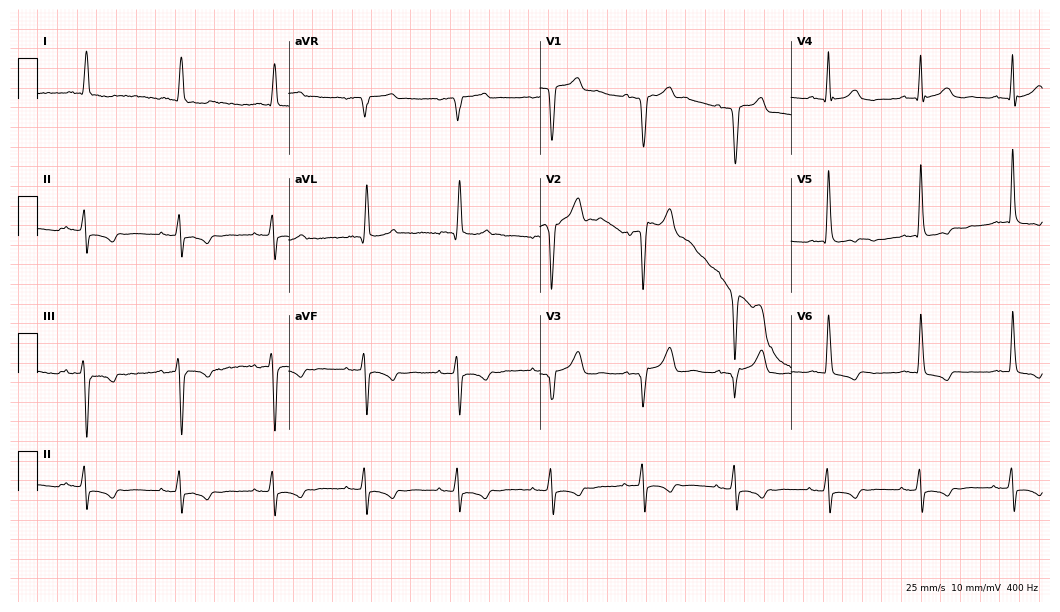
Resting 12-lead electrocardiogram (10.2-second recording at 400 Hz). Patient: a 77-year-old male. None of these six findings is recorded: first-degree AV block, right bundle branch block, left bundle branch block, sinus bradycardia, atrial fibrillation, sinus tachycardia. Findings outside these six are not listed.